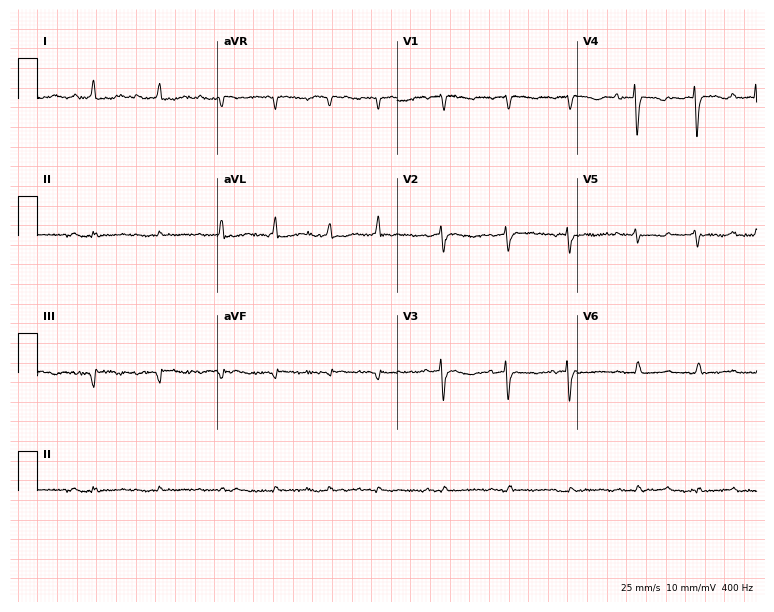
Resting 12-lead electrocardiogram (7.3-second recording at 400 Hz). Patient: an 85-year-old female. None of these six findings is recorded: first-degree AV block, right bundle branch block, left bundle branch block, sinus bradycardia, atrial fibrillation, sinus tachycardia.